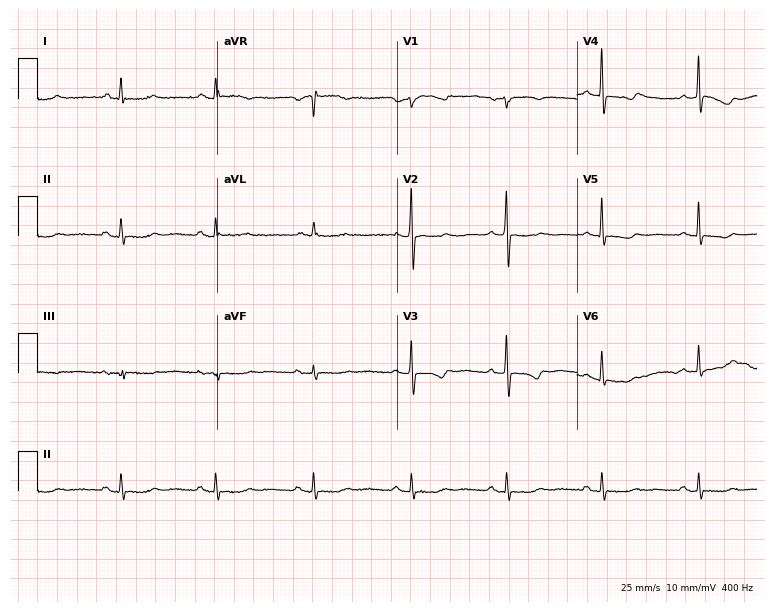
Resting 12-lead electrocardiogram. Patient: a woman, 71 years old. None of these six findings is recorded: first-degree AV block, right bundle branch block (RBBB), left bundle branch block (LBBB), sinus bradycardia, atrial fibrillation (AF), sinus tachycardia.